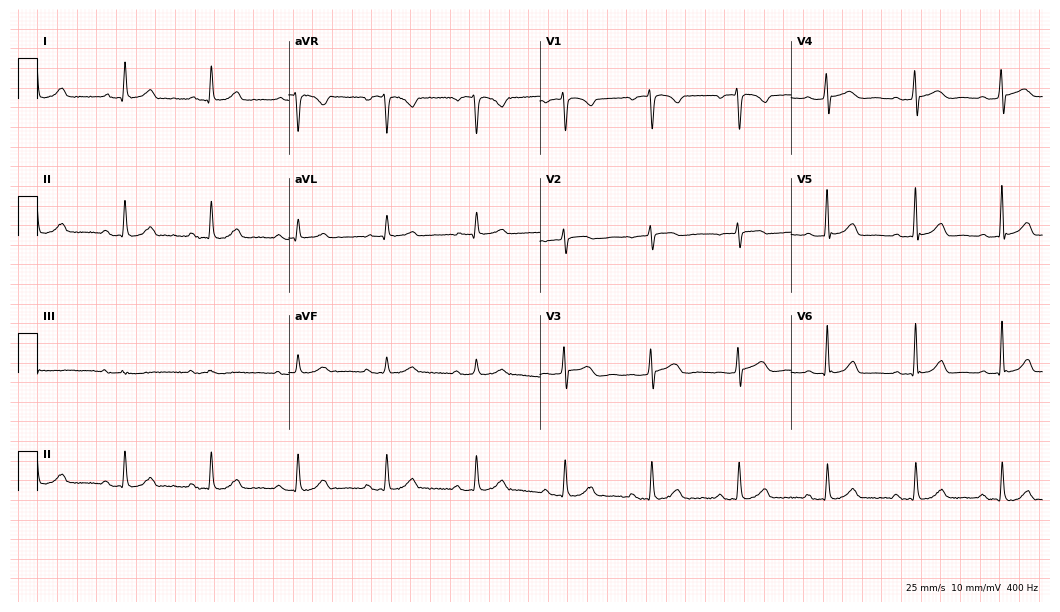
Resting 12-lead electrocardiogram (10.2-second recording at 400 Hz). Patient: a 59-year-old woman. Read as a normal ECG.